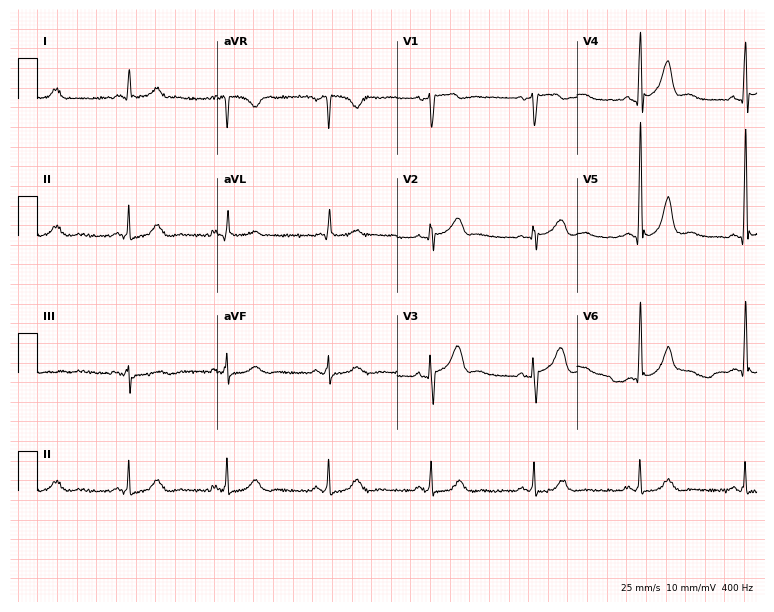
Resting 12-lead electrocardiogram. Patient: a 76-year-old male. Read as a normal ECG.